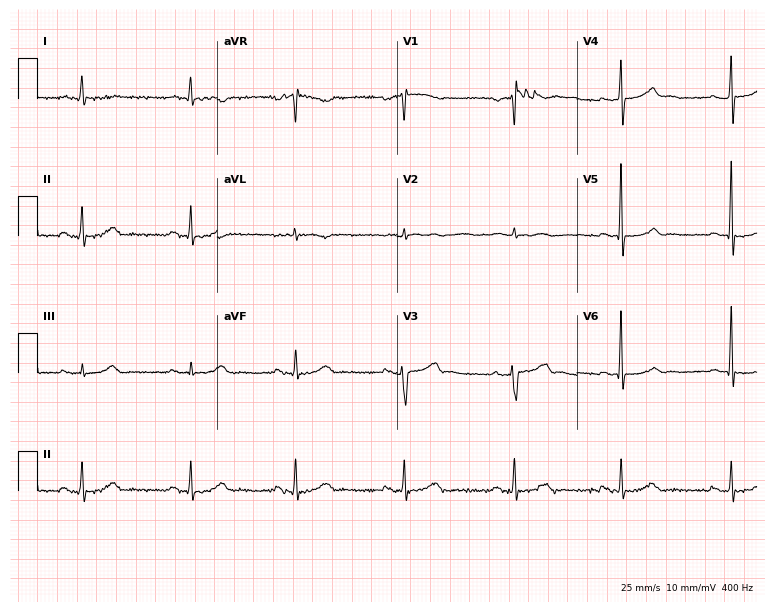
Standard 12-lead ECG recorded from a male, 73 years old (7.3-second recording at 400 Hz). Read as a normal ECG.